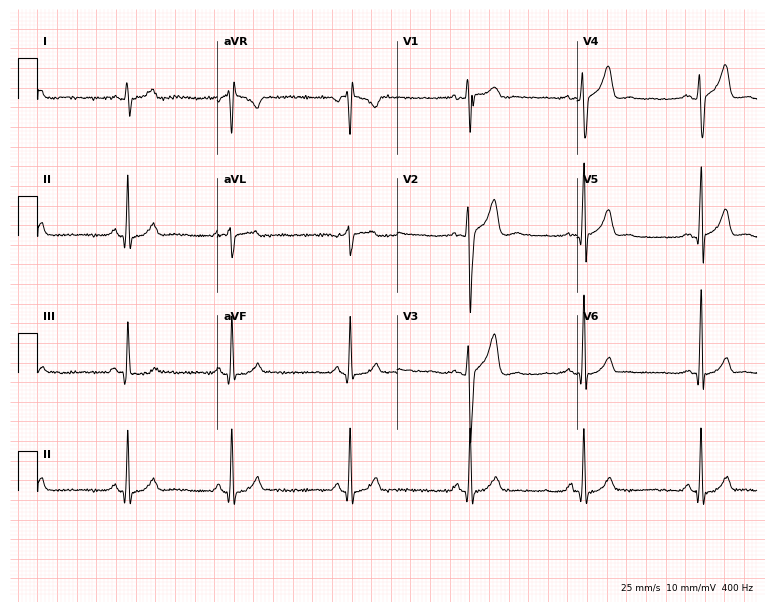
12-lead ECG (7.3-second recording at 400 Hz) from a 22-year-old man. Screened for six findings — first-degree AV block, right bundle branch block (RBBB), left bundle branch block (LBBB), sinus bradycardia, atrial fibrillation (AF), sinus tachycardia — none is recorded. Only these six findings were labelled.